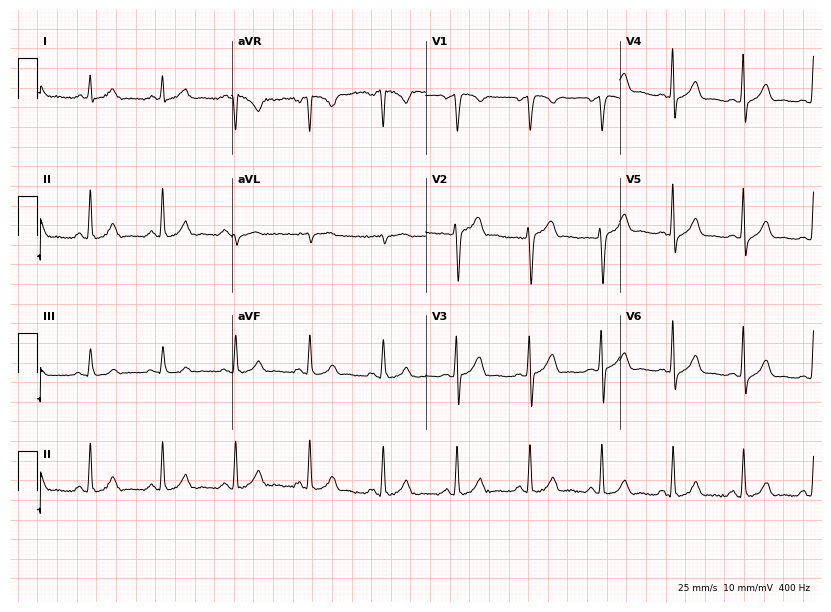
Standard 12-lead ECG recorded from a woman, 54 years old (7.9-second recording at 400 Hz). Read as a normal ECG.